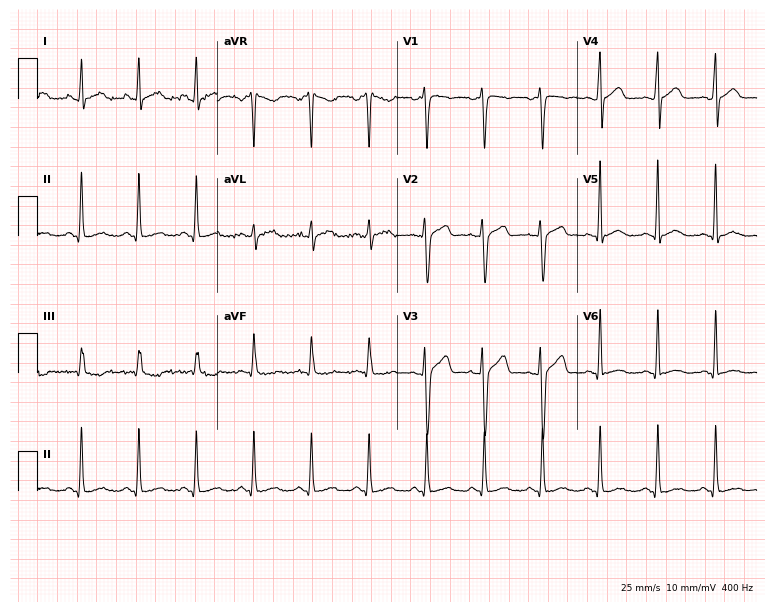
ECG — a woman, 45 years old. Screened for six findings — first-degree AV block, right bundle branch block (RBBB), left bundle branch block (LBBB), sinus bradycardia, atrial fibrillation (AF), sinus tachycardia — none is recorded. Findings outside these six are not listed.